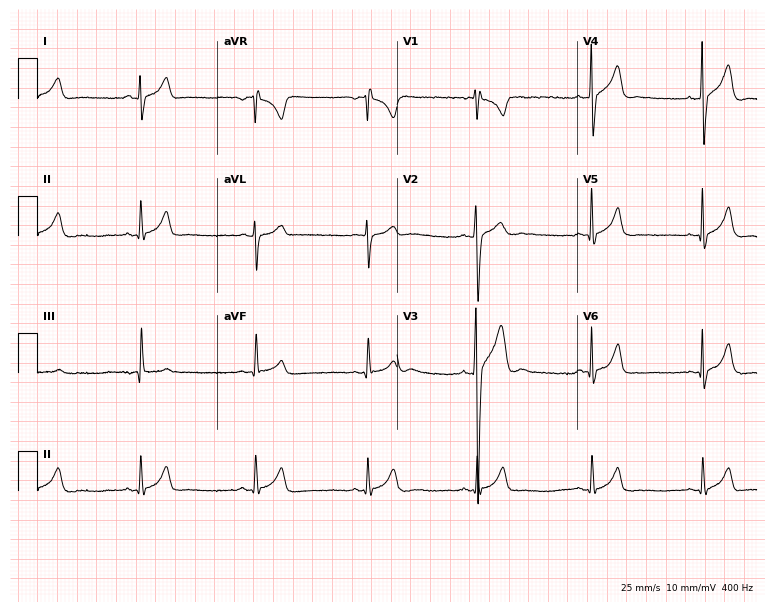
Electrocardiogram (7.3-second recording at 400 Hz), a man, 23 years old. Overall reading on record: normal ECG.